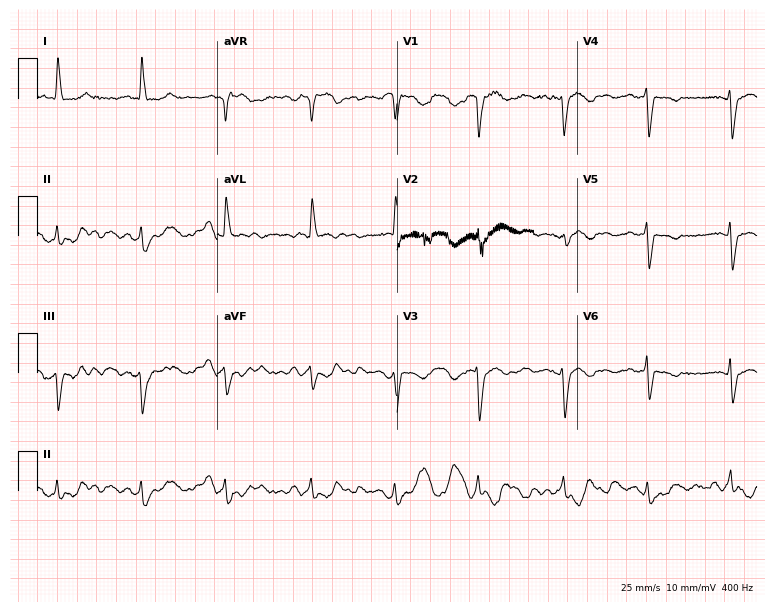
ECG (7.3-second recording at 400 Hz) — a female, 85 years old. Screened for six findings — first-degree AV block, right bundle branch block (RBBB), left bundle branch block (LBBB), sinus bradycardia, atrial fibrillation (AF), sinus tachycardia — none is recorded.